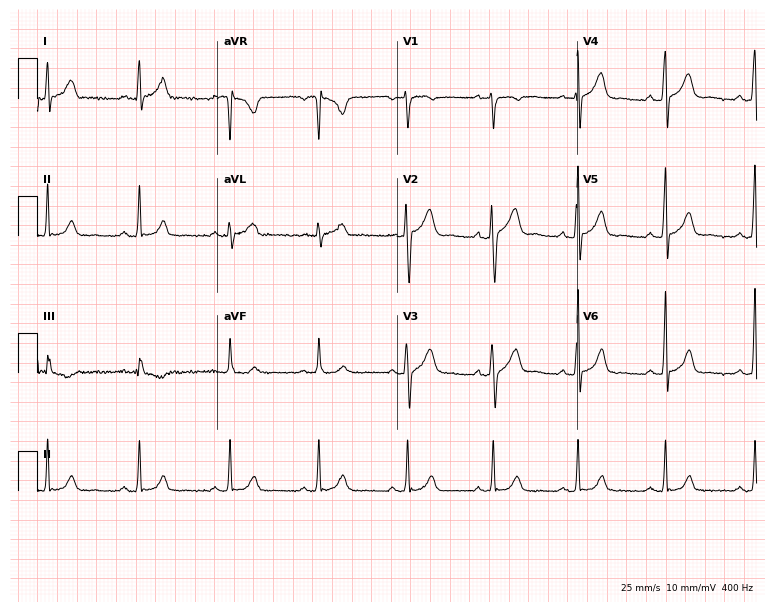
ECG (7.3-second recording at 400 Hz) — a male patient, 40 years old. Labelled as a normal ECG.